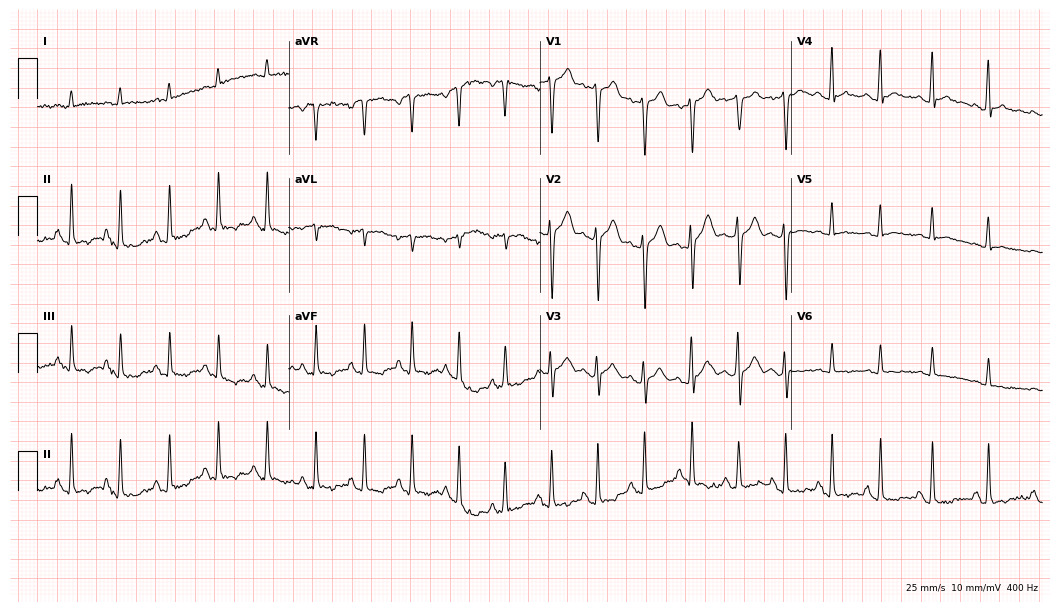
12-lead ECG (10.2-second recording at 400 Hz) from a 25-year-old male. Findings include sinus tachycardia (a sinus rate of 100 beats per minute or more).